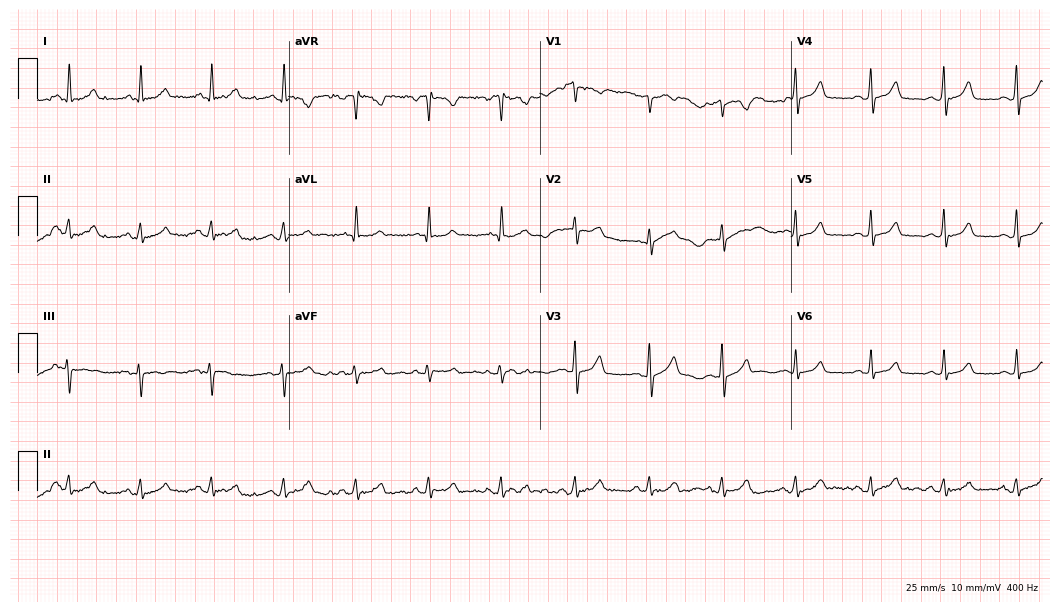
12-lead ECG from a woman, 27 years old (10.2-second recording at 400 Hz). Recorded interpretation: within normal limits.